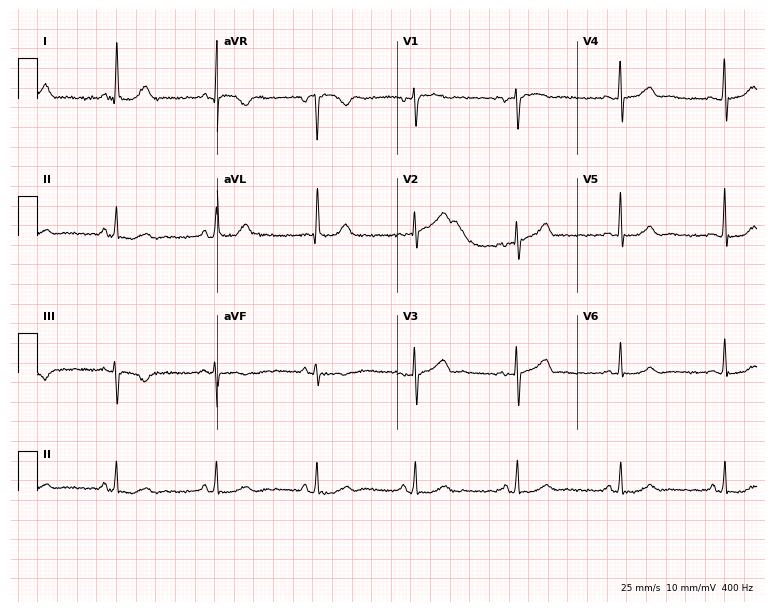
Resting 12-lead electrocardiogram. Patient: a 61-year-old female. Read as a normal ECG.